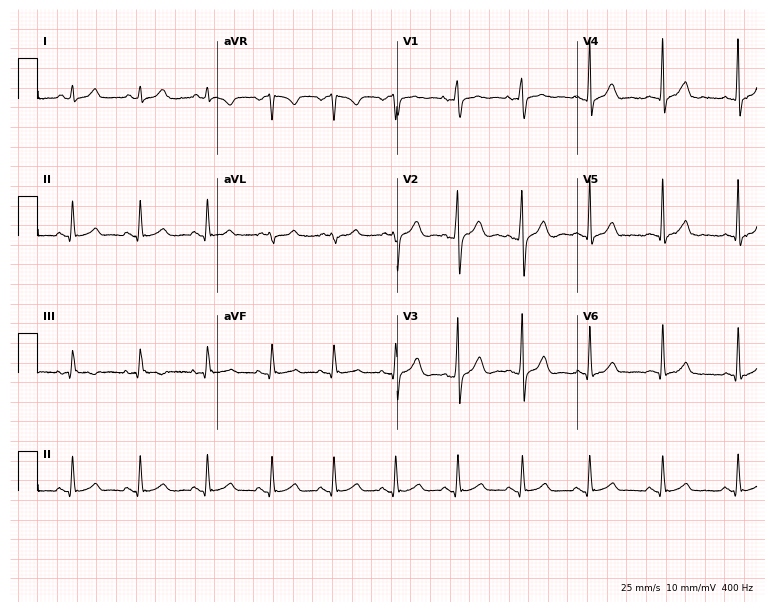
12-lead ECG (7.3-second recording at 400 Hz) from a 33-year-old male. Labelled as a normal ECG.